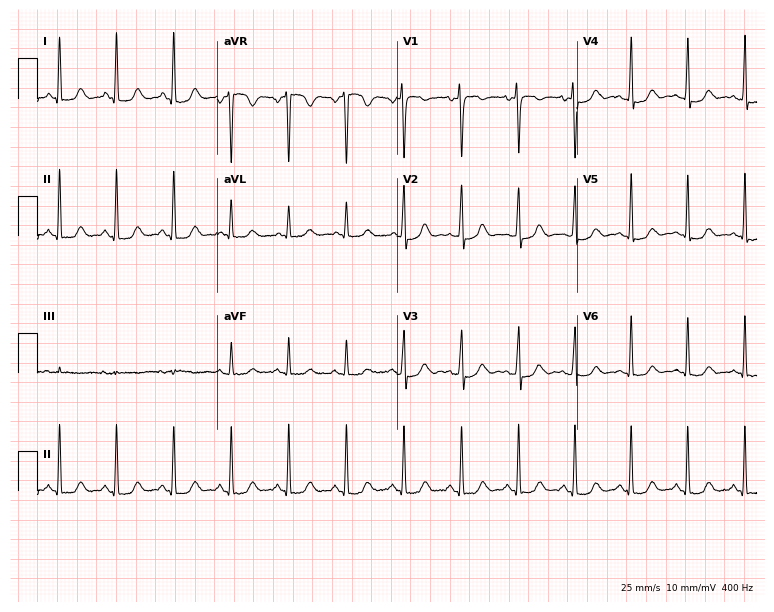
Electrocardiogram, a female, 39 years old. Interpretation includes sinus tachycardia (a sinus rate of 100 beats per minute or more).